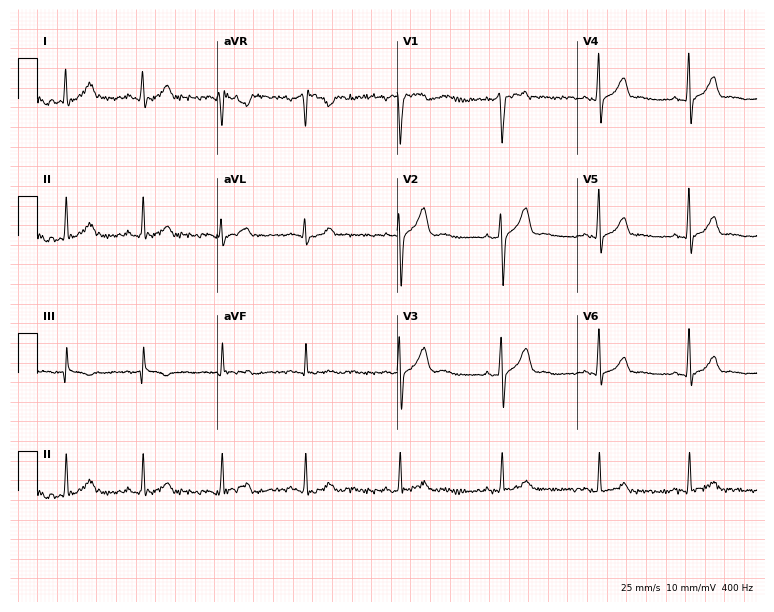
Standard 12-lead ECG recorded from a 28-year-old male (7.3-second recording at 400 Hz). Read as a normal ECG.